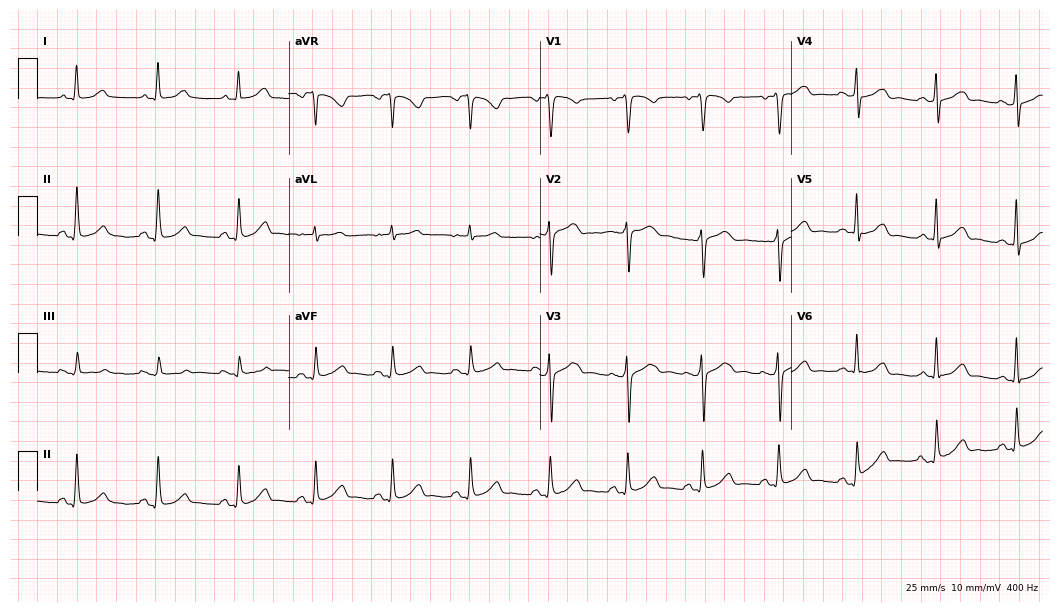
Resting 12-lead electrocardiogram (10.2-second recording at 400 Hz). Patient: a woman, 58 years old. Read as a normal ECG.